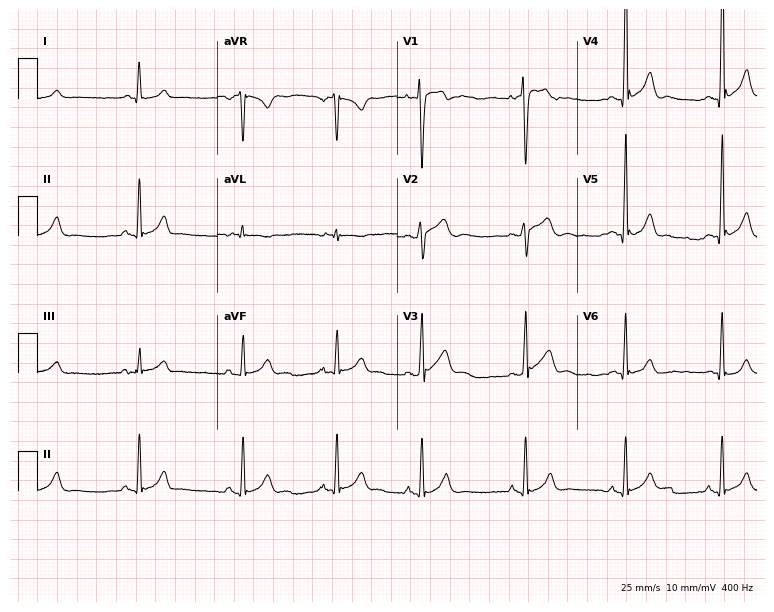
12-lead ECG from a man, 18 years old. Labelled as a normal ECG.